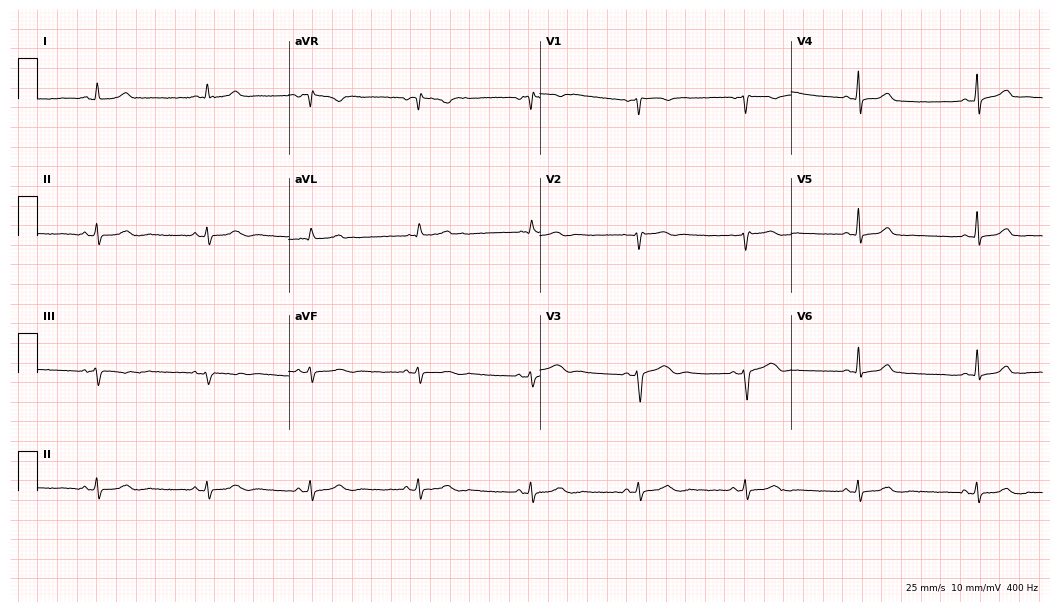
Electrocardiogram, a 39-year-old female. Of the six screened findings (first-degree AV block, right bundle branch block (RBBB), left bundle branch block (LBBB), sinus bradycardia, atrial fibrillation (AF), sinus tachycardia), none is recorded.